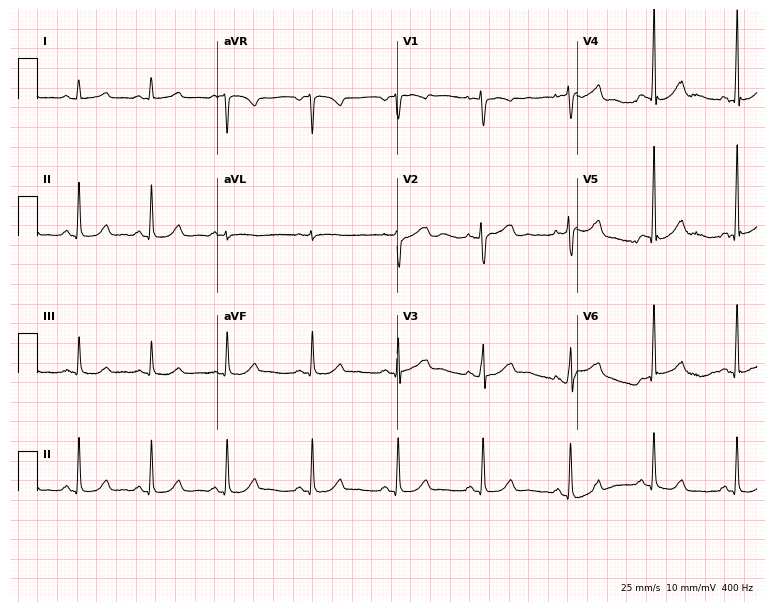
ECG — a 47-year-old female patient. Screened for six findings — first-degree AV block, right bundle branch block (RBBB), left bundle branch block (LBBB), sinus bradycardia, atrial fibrillation (AF), sinus tachycardia — none is recorded. Findings outside these six are not listed.